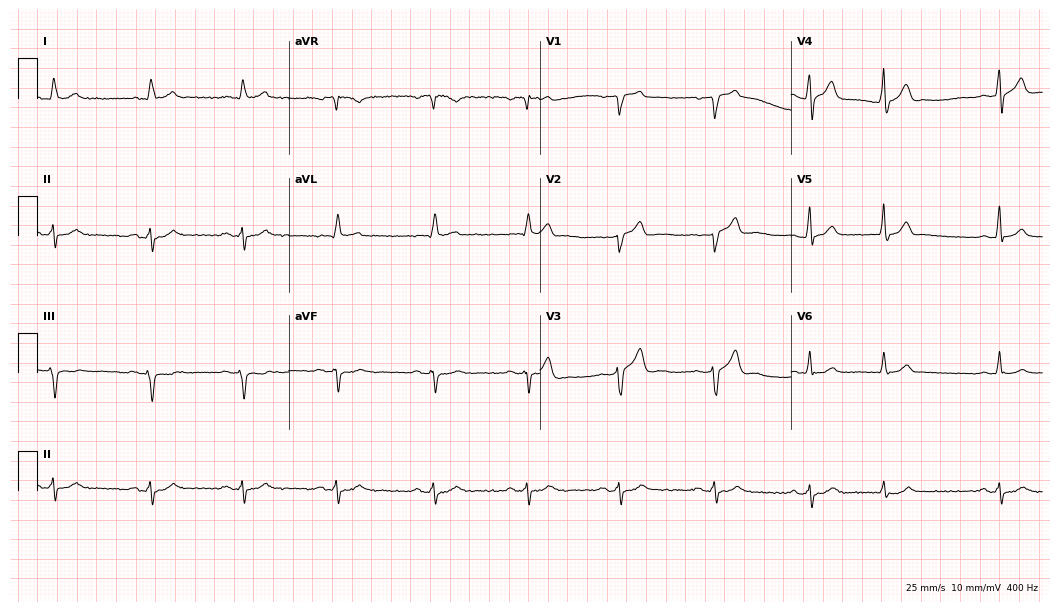
Resting 12-lead electrocardiogram. Patient: a male, 57 years old. None of these six findings is recorded: first-degree AV block, right bundle branch block, left bundle branch block, sinus bradycardia, atrial fibrillation, sinus tachycardia. Only these six findings were labelled.